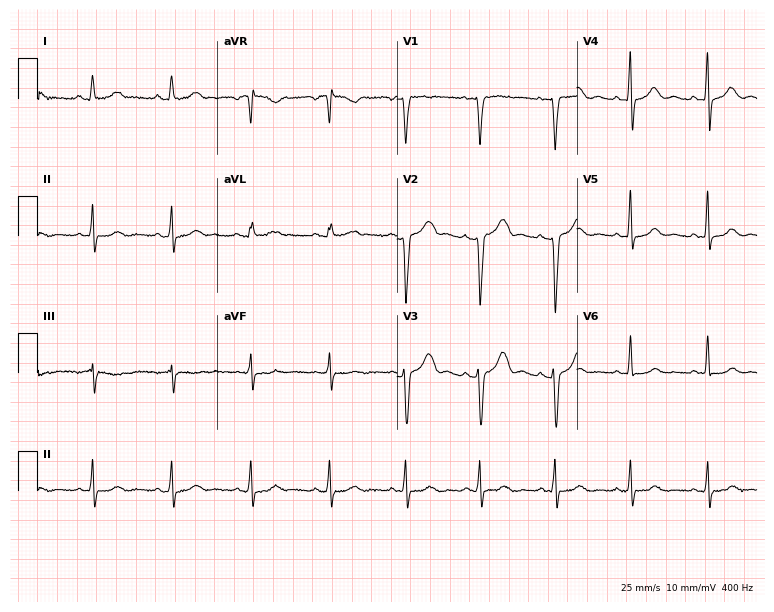
Electrocardiogram, a 39-year-old female. Overall reading on record: normal ECG.